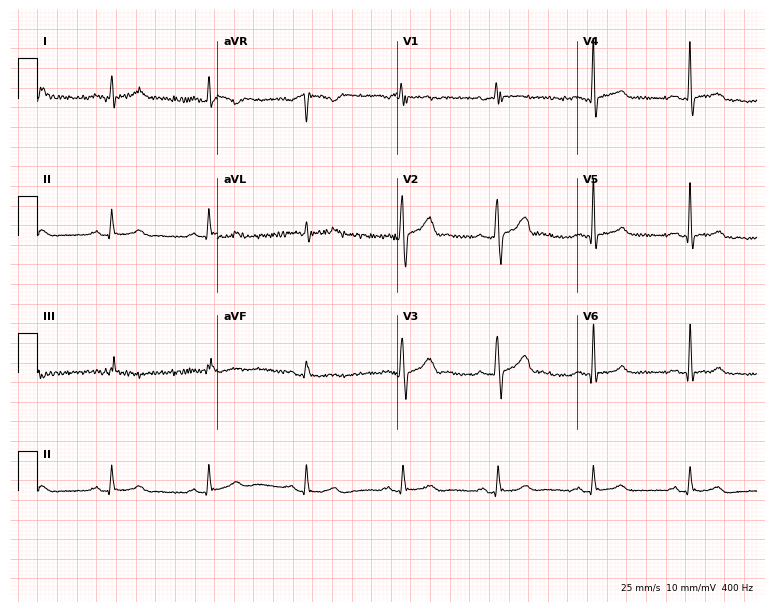
Resting 12-lead electrocardiogram. Patient: a 47-year-old male. Read as a normal ECG.